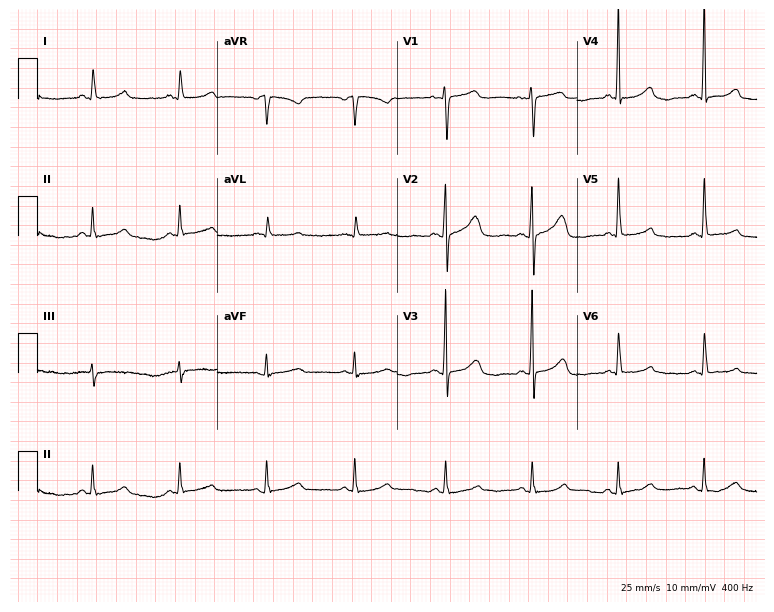
Electrocardiogram (7.3-second recording at 400 Hz), an 85-year-old female patient. Overall reading on record: normal ECG.